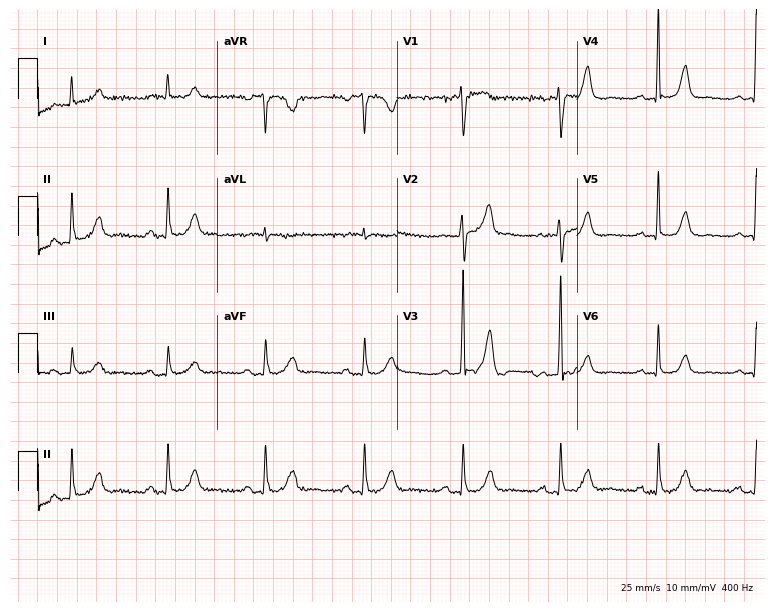
Electrocardiogram, a male, 79 years old. Of the six screened findings (first-degree AV block, right bundle branch block (RBBB), left bundle branch block (LBBB), sinus bradycardia, atrial fibrillation (AF), sinus tachycardia), none is recorded. Findings outside these six are not listed.